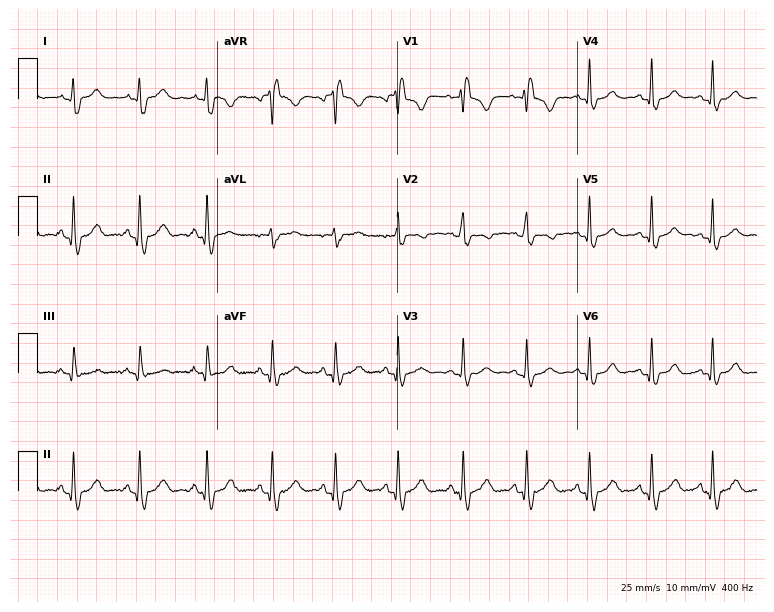
12-lead ECG (7.3-second recording at 400 Hz) from a 36-year-old female. Findings include right bundle branch block (RBBB).